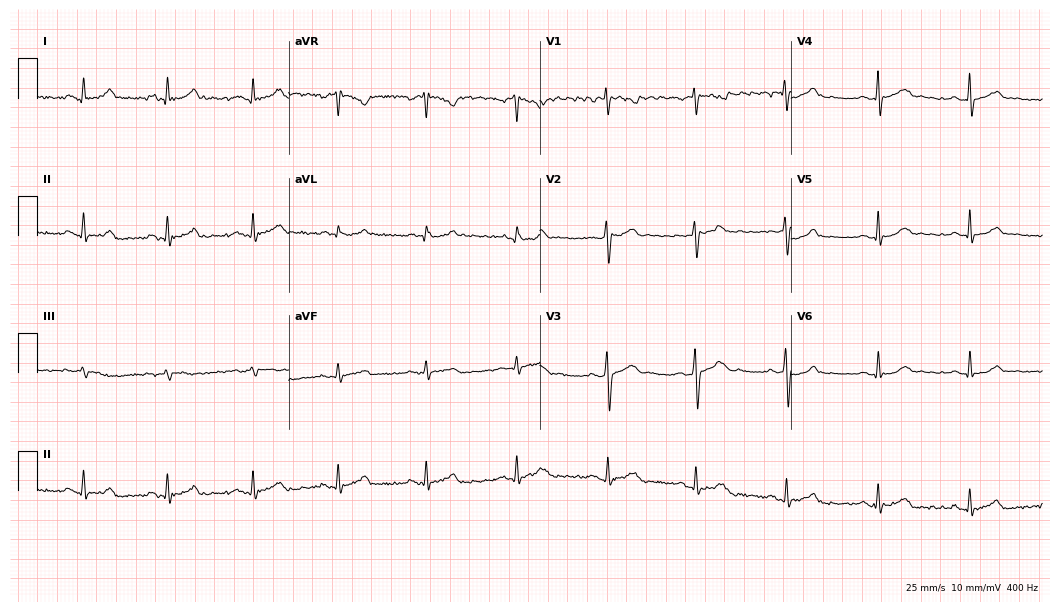
Standard 12-lead ECG recorded from a man, 40 years old. Read as a normal ECG.